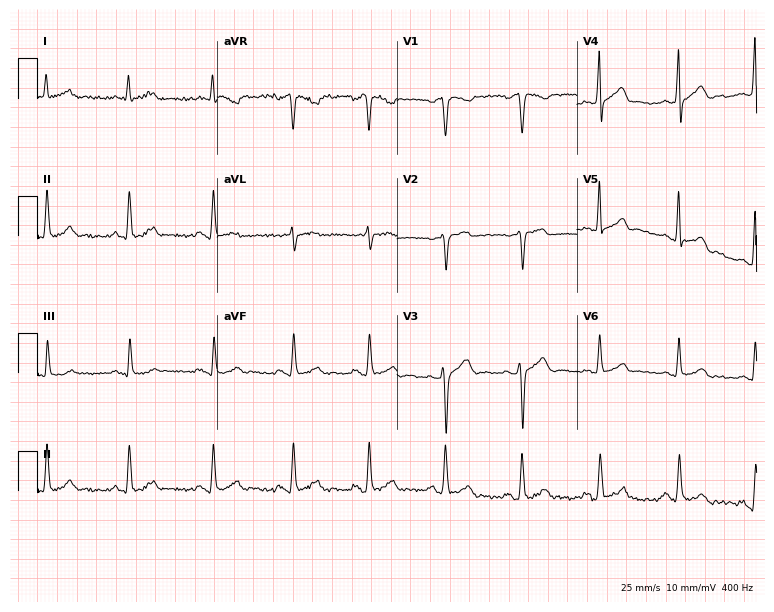
ECG — a 43-year-old male patient. Screened for six findings — first-degree AV block, right bundle branch block, left bundle branch block, sinus bradycardia, atrial fibrillation, sinus tachycardia — none is recorded. Only these six findings were labelled.